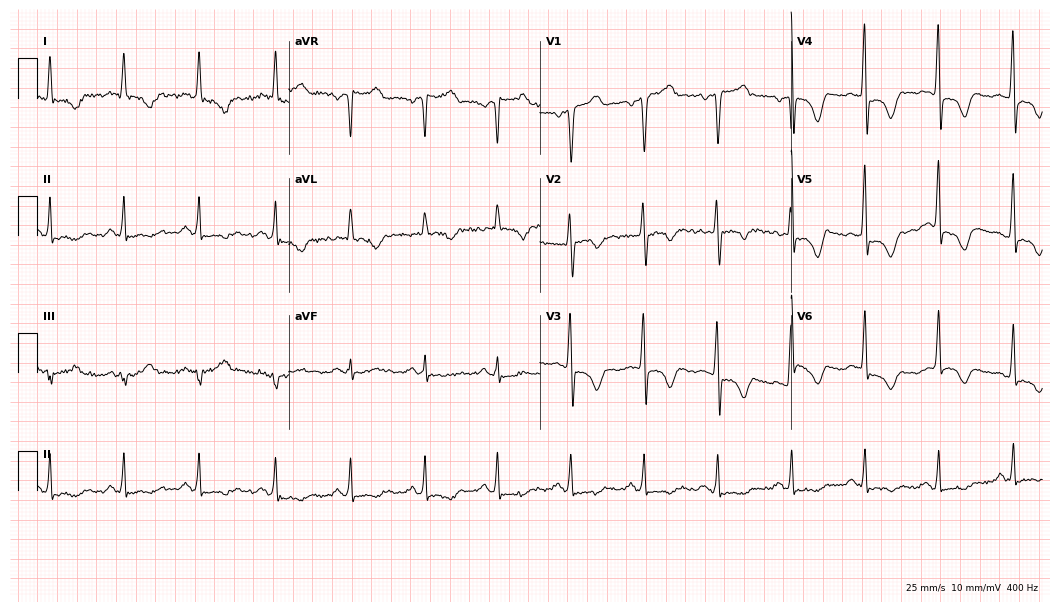
Electrocardiogram (10.2-second recording at 400 Hz), a male, 54 years old. Overall reading on record: normal ECG.